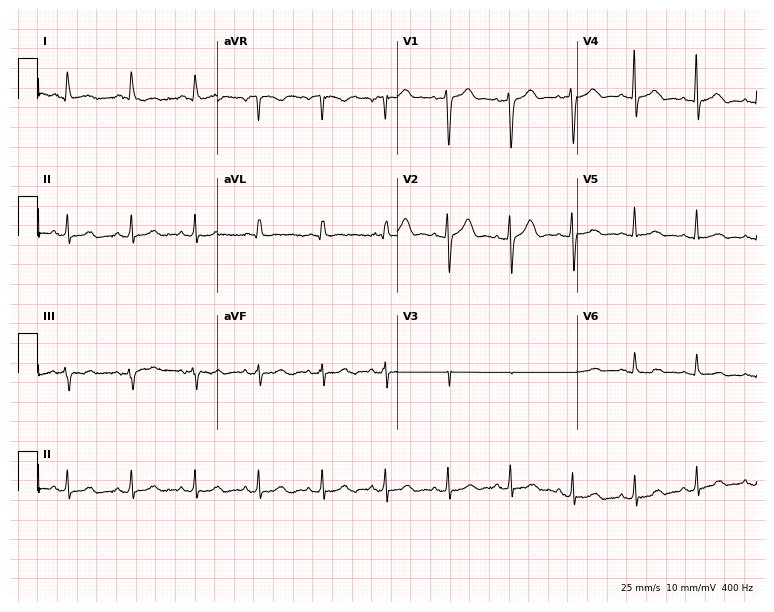
12-lead ECG from a 58-year-old female patient. Labelled as a normal ECG.